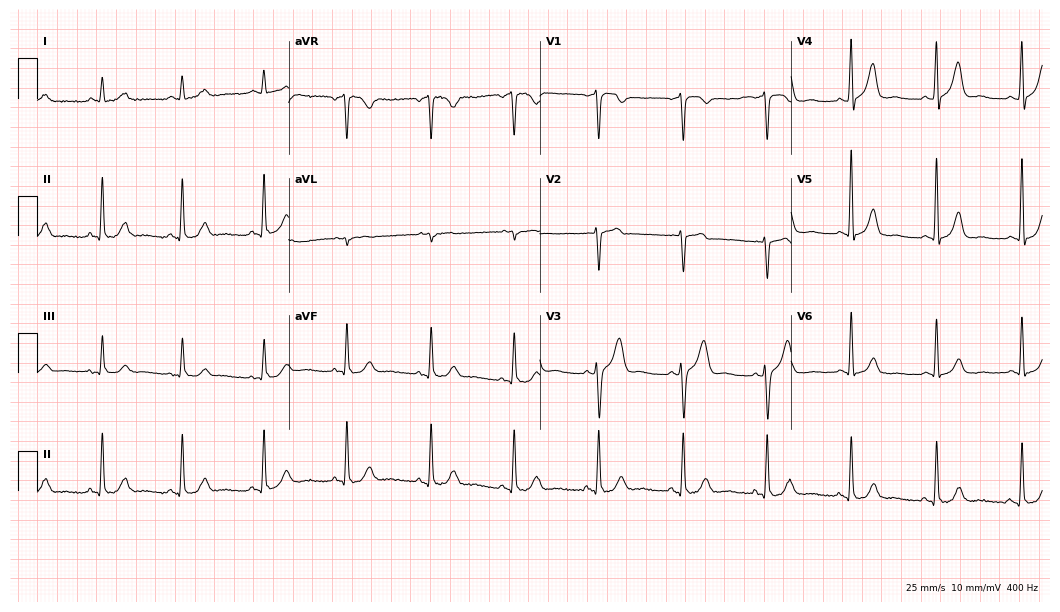
12-lead ECG (10.2-second recording at 400 Hz) from a 62-year-old male. Screened for six findings — first-degree AV block, right bundle branch block (RBBB), left bundle branch block (LBBB), sinus bradycardia, atrial fibrillation (AF), sinus tachycardia — none is recorded. Only these six findings were labelled.